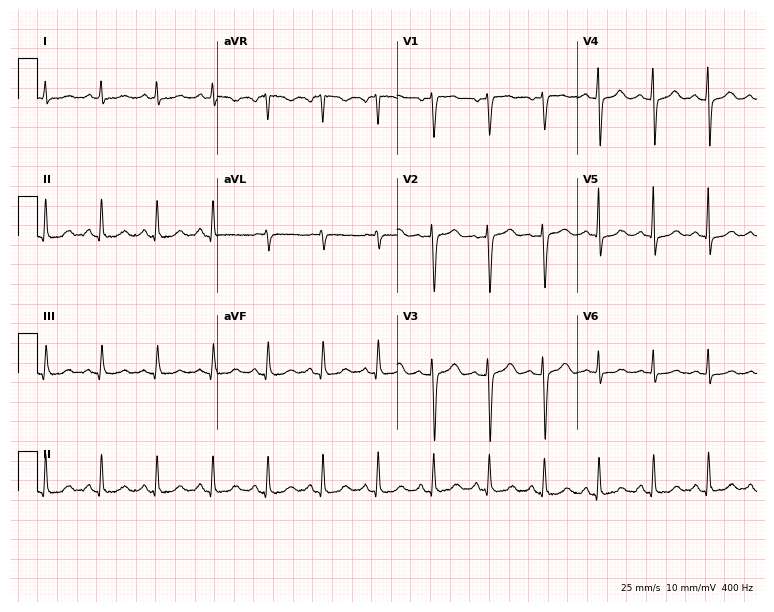
Electrocardiogram (7.3-second recording at 400 Hz), a female, 61 years old. Interpretation includes sinus tachycardia (a sinus rate of 100 beats per minute or more).